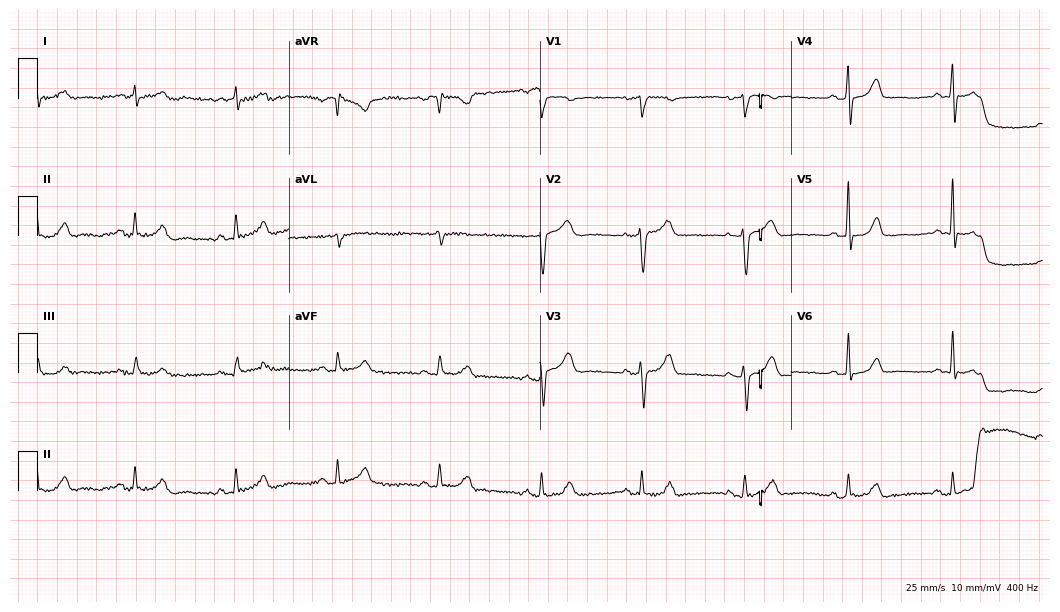
Standard 12-lead ECG recorded from a female, 51 years old. Read as a normal ECG.